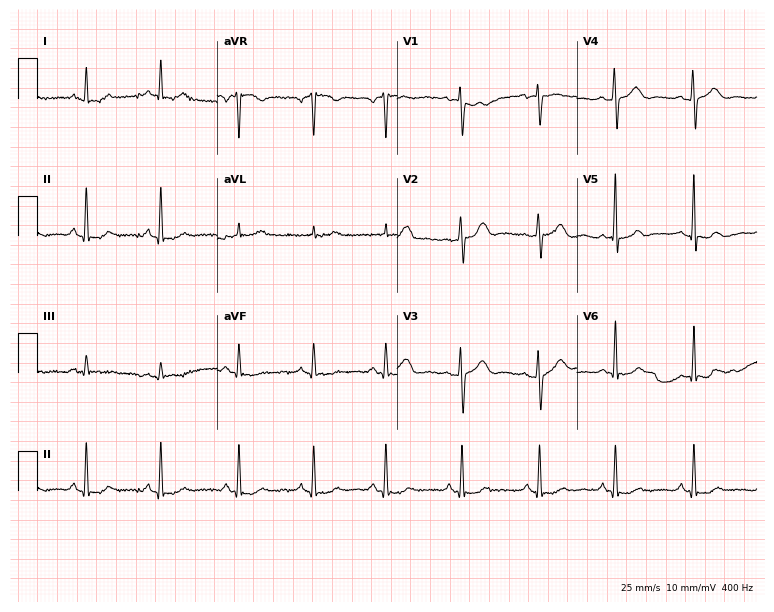
12-lead ECG from a 37-year-old female (7.3-second recording at 400 Hz). No first-degree AV block, right bundle branch block, left bundle branch block, sinus bradycardia, atrial fibrillation or sinus tachycardia recorded for this tracing.